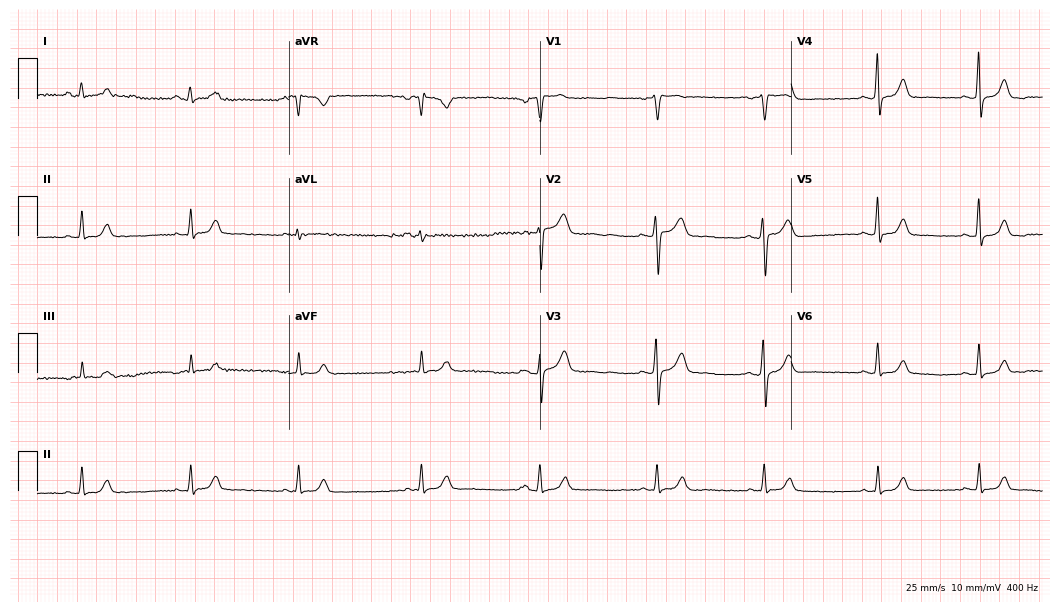
12-lead ECG from a 49-year-old female patient (10.2-second recording at 400 Hz). No first-degree AV block, right bundle branch block, left bundle branch block, sinus bradycardia, atrial fibrillation or sinus tachycardia recorded for this tracing. Other findings, if any, are not listed.